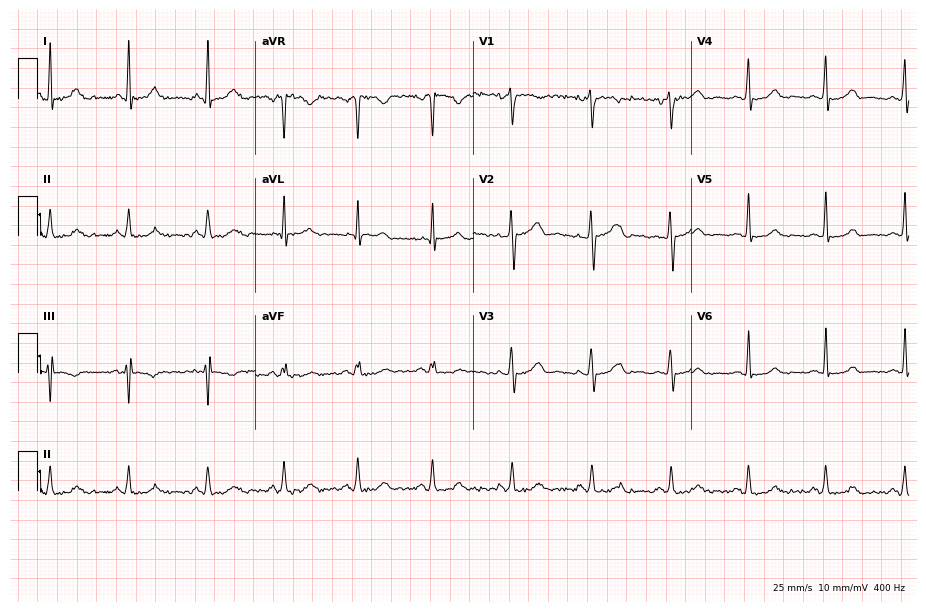
Resting 12-lead electrocardiogram (8.9-second recording at 400 Hz). Patient: a woman, 40 years old. Read as a normal ECG.